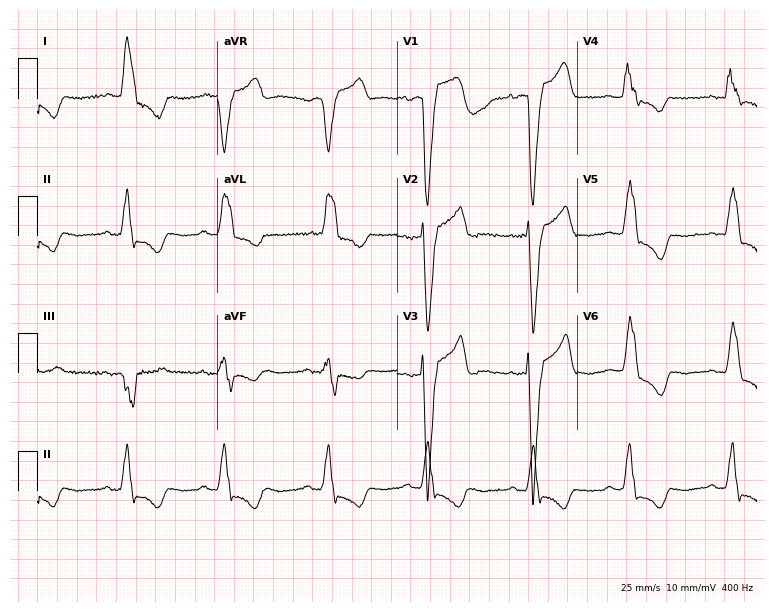
Standard 12-lead ECG recorded from a female, 79 years old. The tracing shows left bundle branch block.